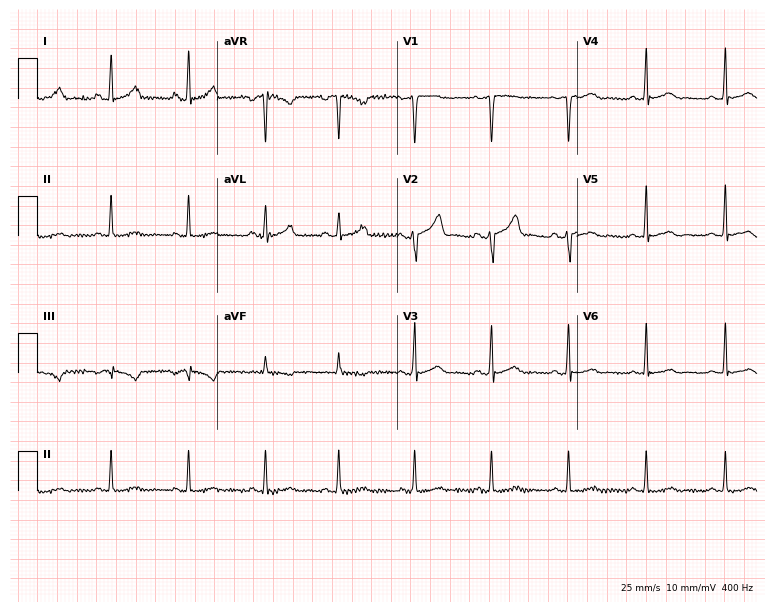
12-lead ECG from a female, 27 years old (7.3-second recording at 400 Hz). No first-degree AV block, right bundle branch block, left bundle branch block, sinus bradycardia, atrial fibrillation or sinus tachycardia recorded for this tracing.